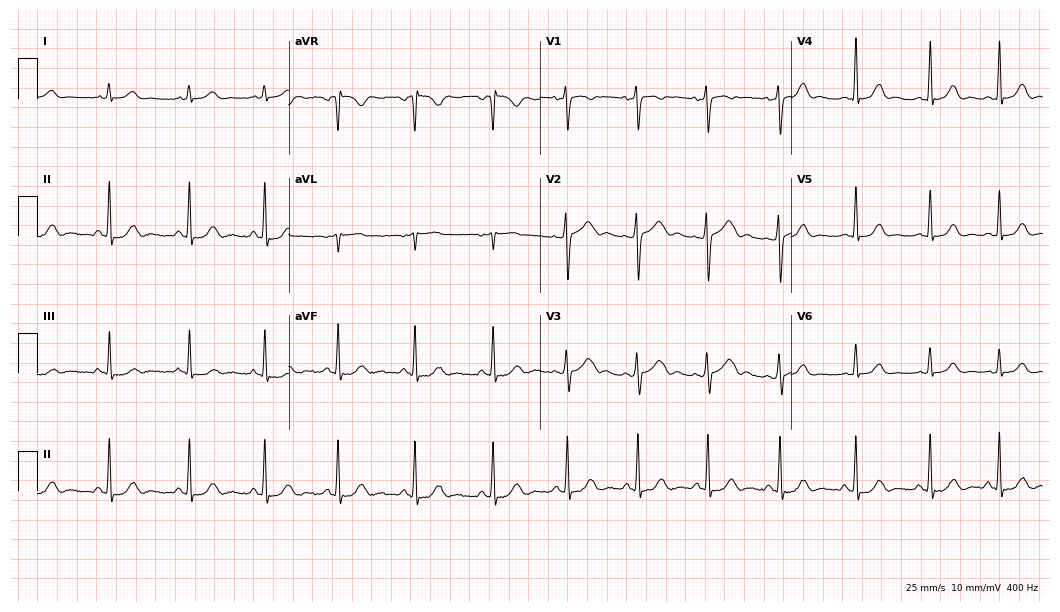
ECG — a female, 38 years old. Labelled as a normal ECG.